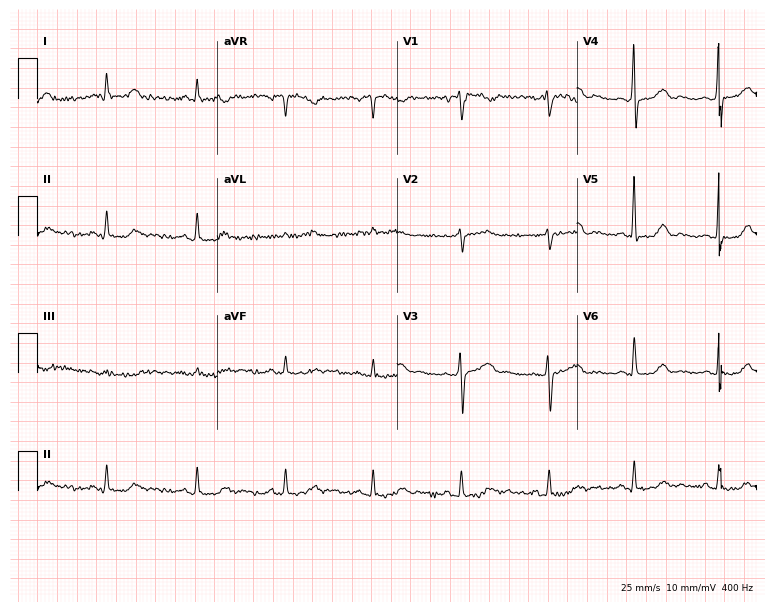
ECG — a female, 59 years old. Screened for six findings — first-degree AV block, right bundle branch block (RBBB), left bundle branch block (LBBB), sinus bradycardia, atrial fibrillation (AF), sinus tachycardia — none is recorded.